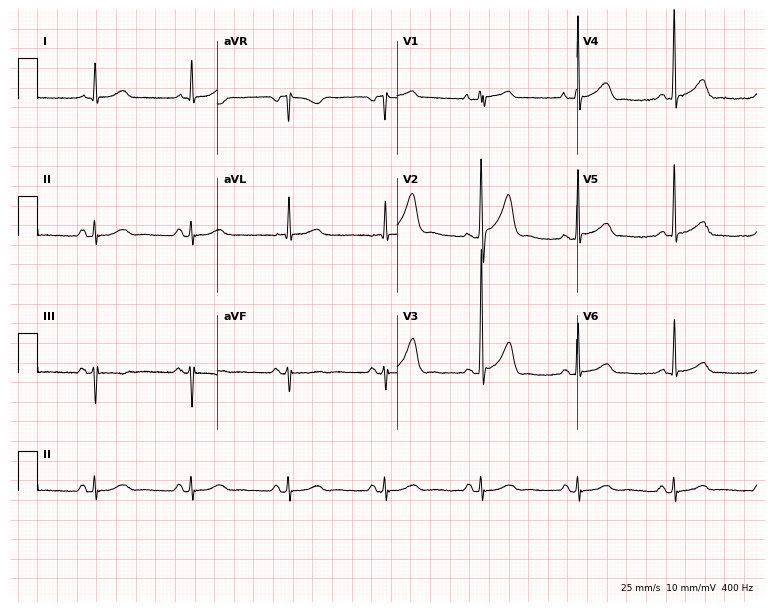
ECG — a male patient, 74 years old. Labelled as a normal ECG.